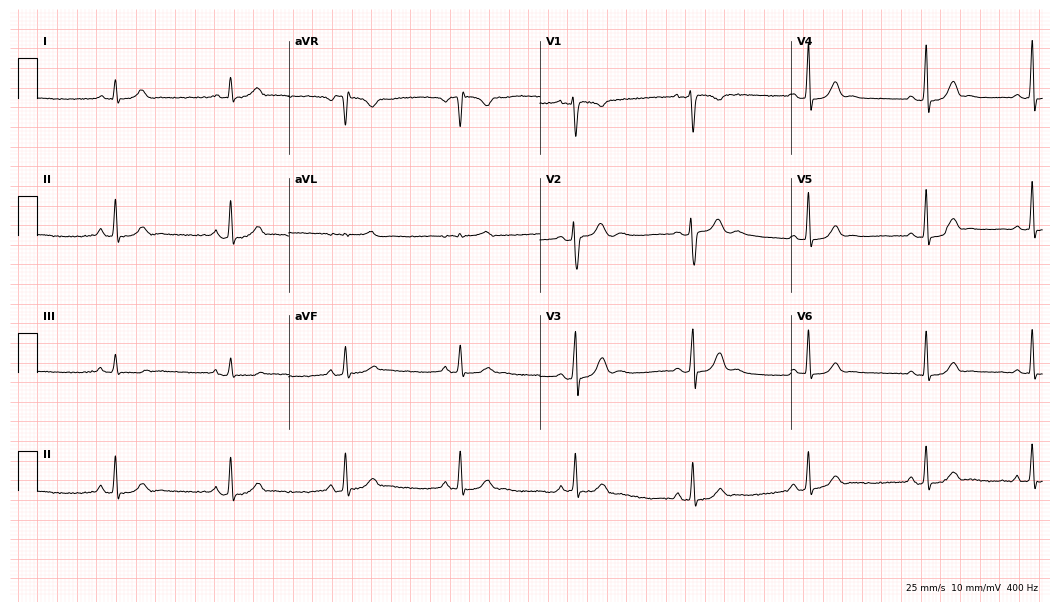
Electrocardiogram (10.2-second recording at 400 Hz), a 26-year-old female. Overall reading on record: normal ECG.